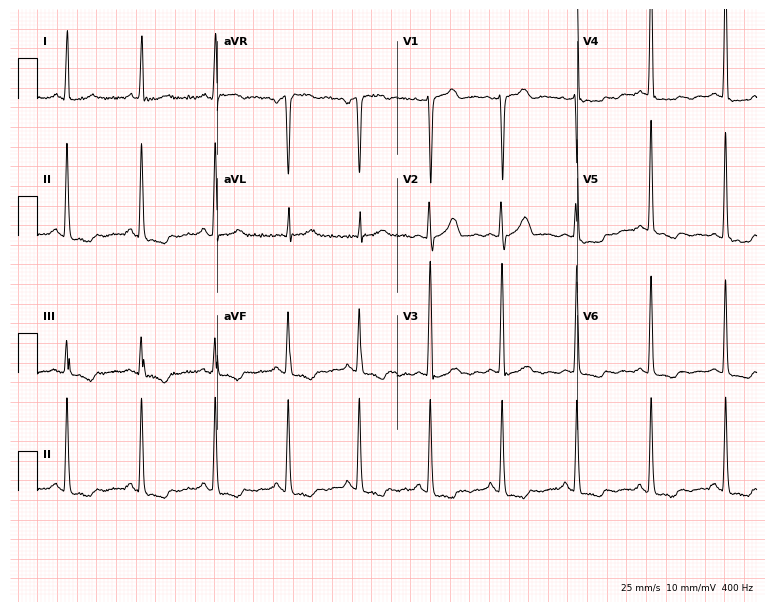
12-lead ECG from a woman, 55 years old. Screened for six findings — first-degree AV block, right bundle branch block (RBBB), left bundle branch block (LBBB), sinus bradycardia, atrial fibrillation (AF), sinus tachycardia — none is recorded. Findings outside these six are not listed.